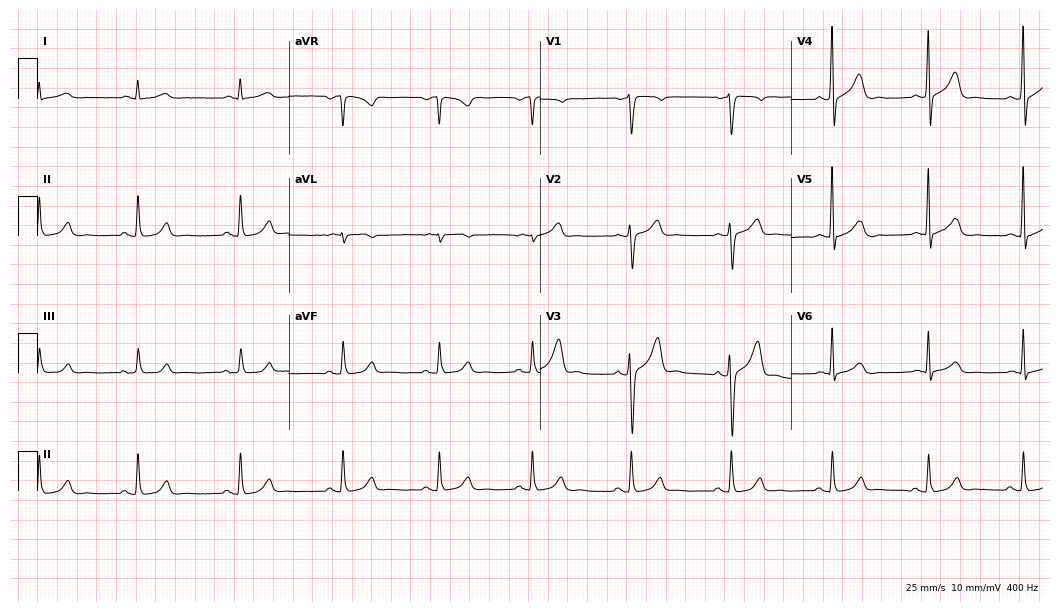
12-lead ECG from a man, 56 years old (10.2-second recording at 400 Hz). No first-degree AV block, right bundle branch block, left bundle branch block, sinus bradycardia, atrial fibrillation or sinus tachycardia recorded for this tracing. Other findings, if any, are not listed.